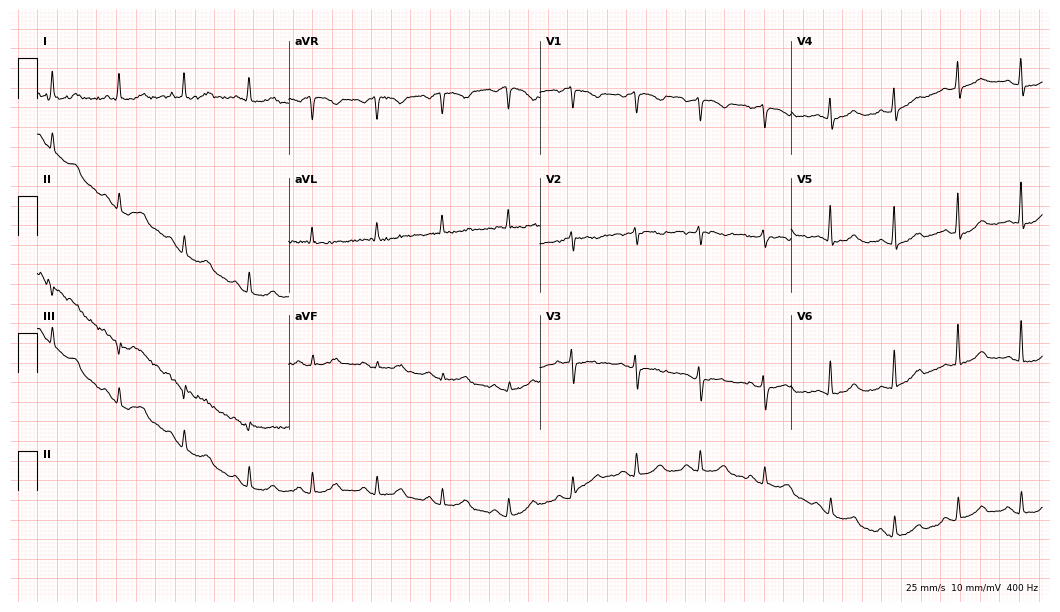
Resting 12-lead electrocardiogram (10.2-second recording at 400 Hz). Patient: a 67-year-old female. Read as a normal ECG.